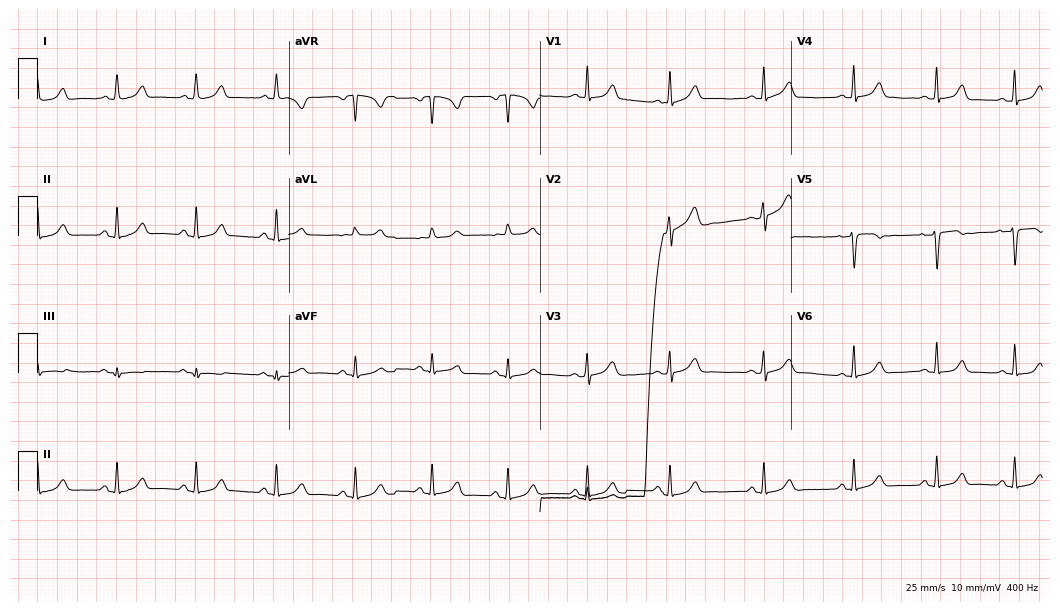
12-lead ECG (10.2-second recording at 400 Hz) from a woman, 31 years old. Labelled as a normal ECG.